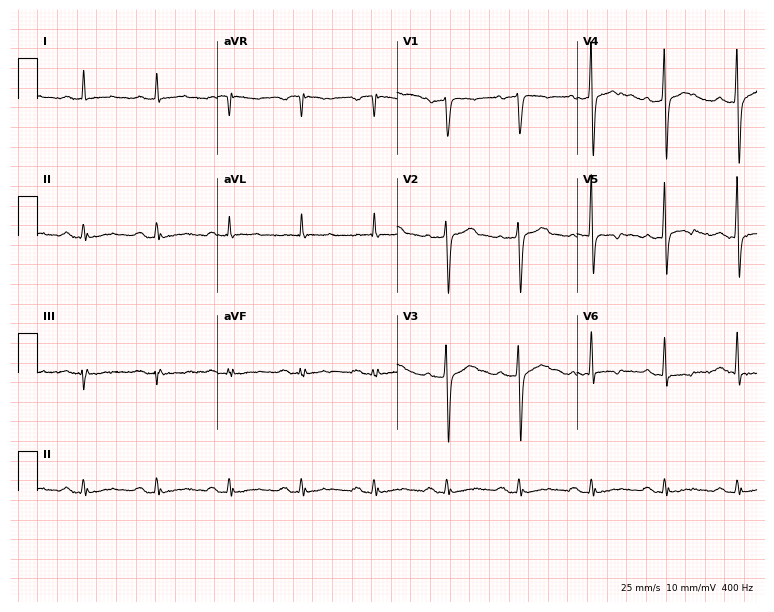
Electrocardiogram (7.3-second recording at 400 Hz), a 63-year-old male. Overall reading on record: normal ECG.